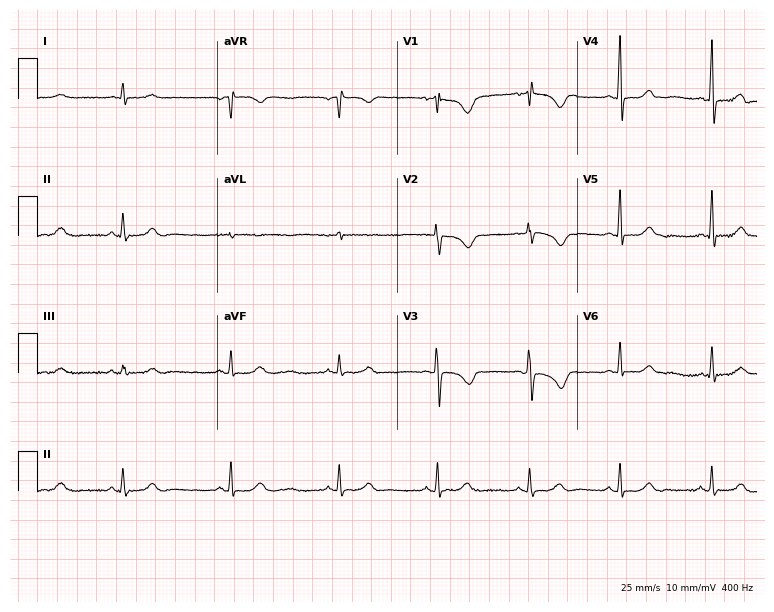
Electrocardiogram, a 54-year-old female. Overall reading on record: normal ECG.